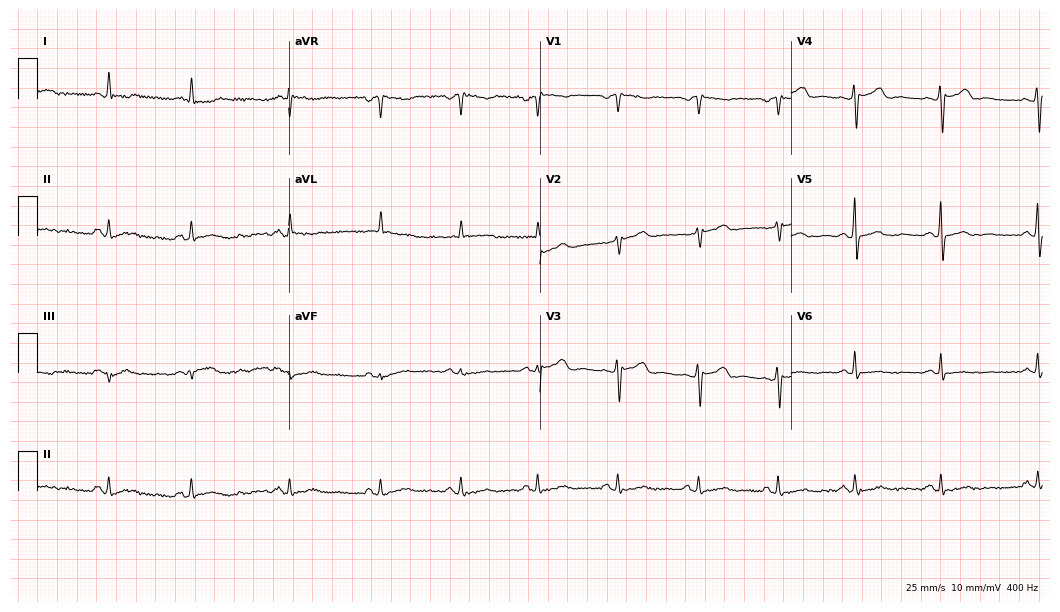
Electrocardiogram (10.2-second recording at 400 Hz), a 44-year-old female patient. Of the six screened findings (first-degree AV block, right bundle branch block, left bundle branch block, sinus bradycardia, atrial fibrillation, sinus tachycardia), none is recorded. Only these six findings were labelled.